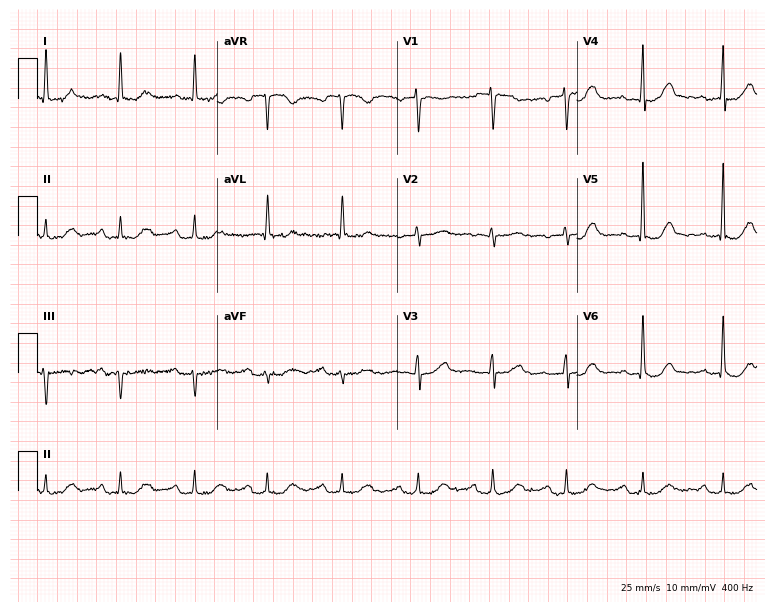
12-lead ECG (7.3-second recording at 400 Hz) from a female patient, 64 years old. Screened for six findings — first-degree AV block, right bundle branch block (RBBB), left bundle branch block (LBBB), sinus bradycardia, atrial fibrillation (AF), sinus tachycardia — none is recorded.